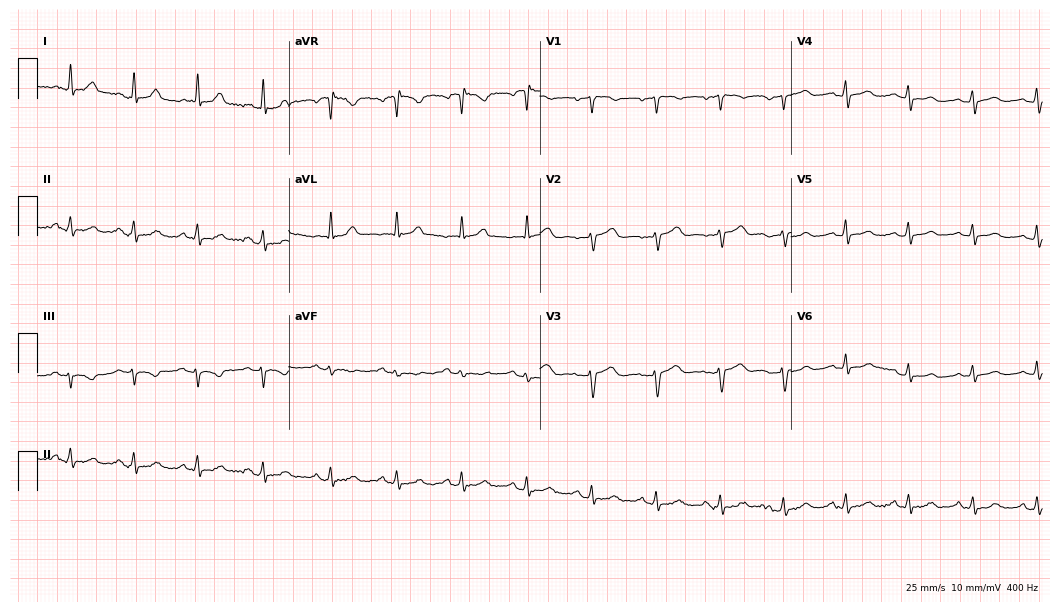
12-lead ECG from a woman, 48 years old. Recorded interpretation: within normal limits.